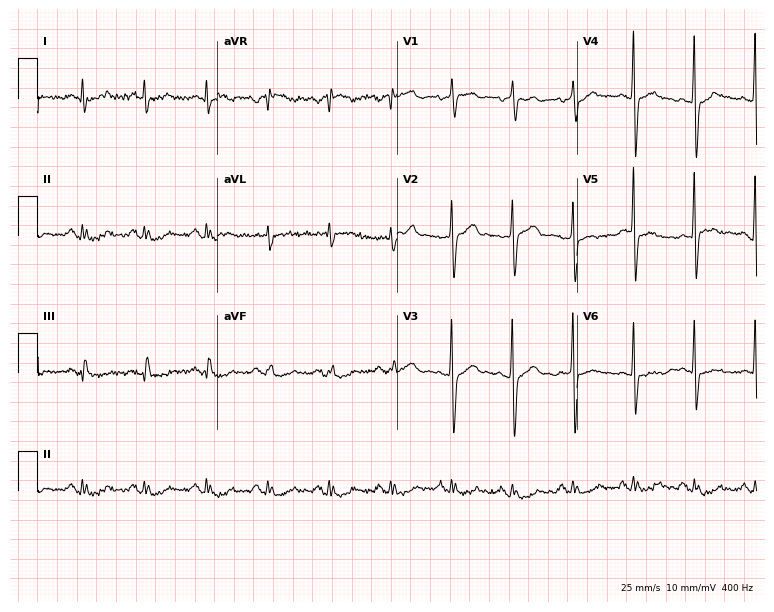
12-lead ECG from a 61-year-old male patient. Recorded interpretation: within normal limits.